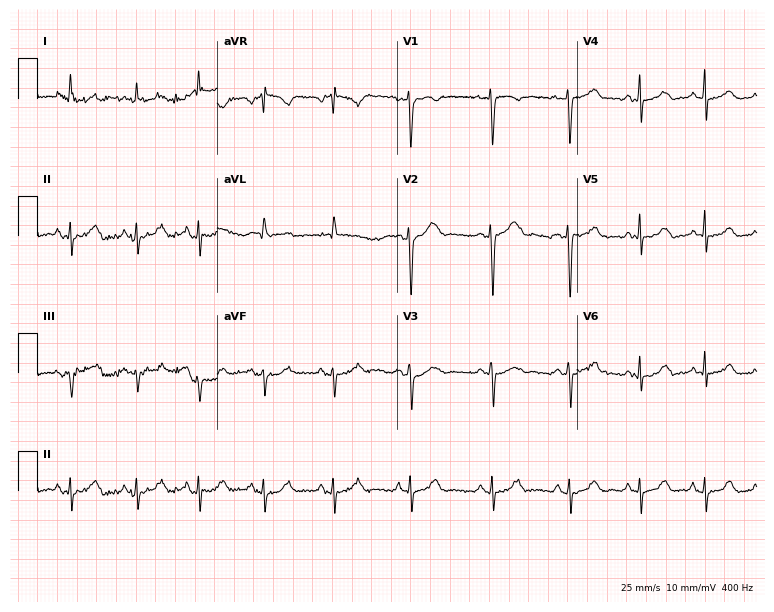
12-lead ECG from a 31-year-old woman. No first-degree AV block, right bundle branch block (RBBB), left bundle branch block (LBBB), sinus bradycardia, atrial fibrillation (AF) or sinus tachycardia recorded for this tracing. Findings outside these six are not listed.